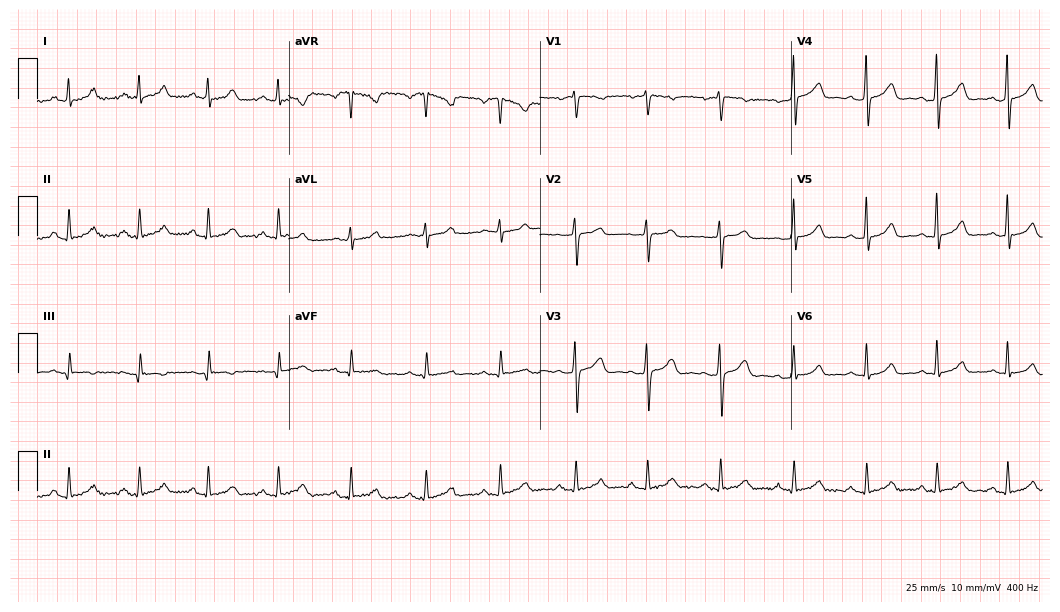
Standard 12-lead ECG recorded from a 29-year-old female. Read as a normal ECG.